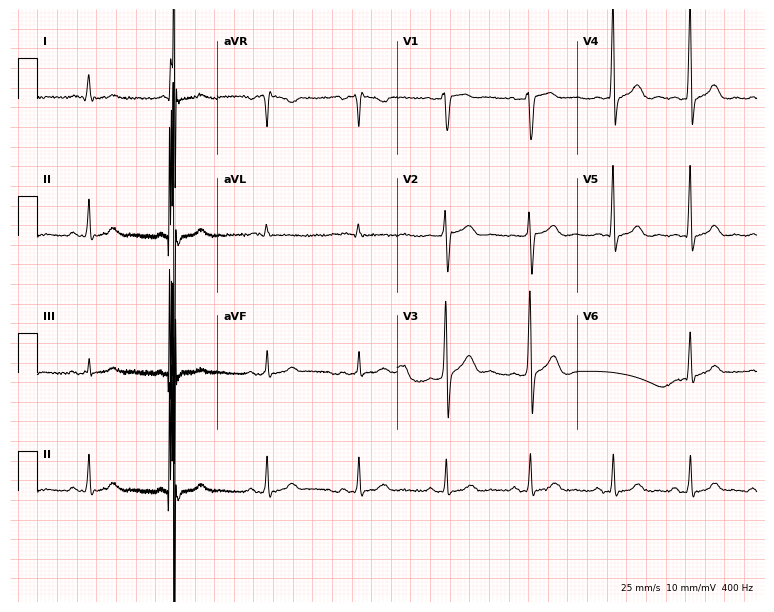
ECG (7.3-second recording at 400 Hz) — a 33-year-old male. Labelled as a normal ECG.